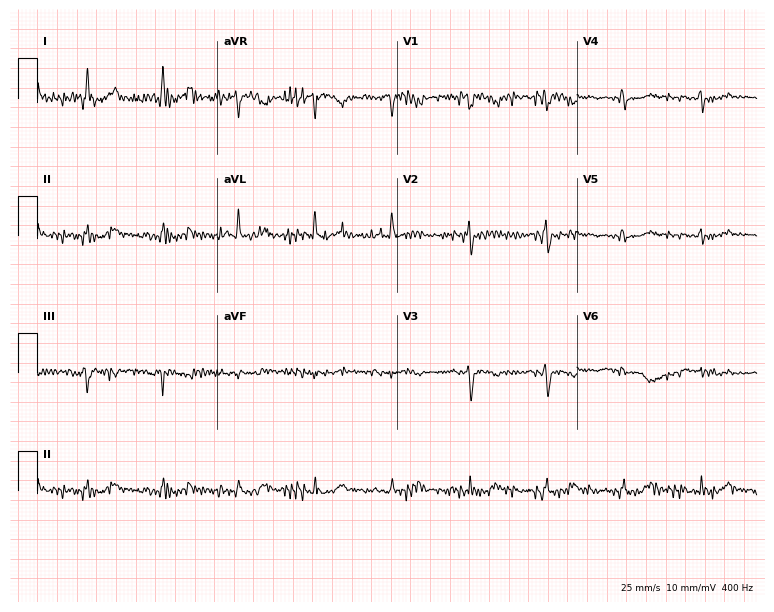
12-lead ECG (7.3-second recording at 400 Hz) from a female, 65 years old. Screened for six findings — first-degree AV block, right bundle branch block, left bundle branch block, sinus bradycardia, atrial fibrillation, sinus tachycardia — none is recorded. Only these six findings were labelled.